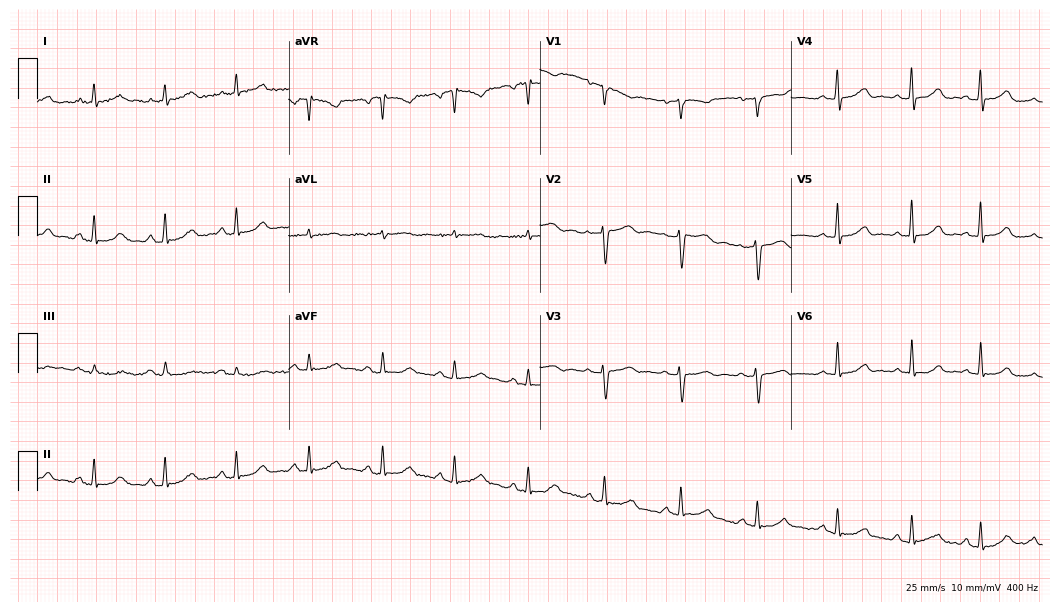
12-lead ECG from a woman, 71 years old. No first-degree AV block, right bundle branch block (RBBB), left bundle branch block (LBBB), sinus bradycardia, atrial fibrillation (AF) or sinus tachycardia recorded for this tracing. Other findings, if any, are not listed.